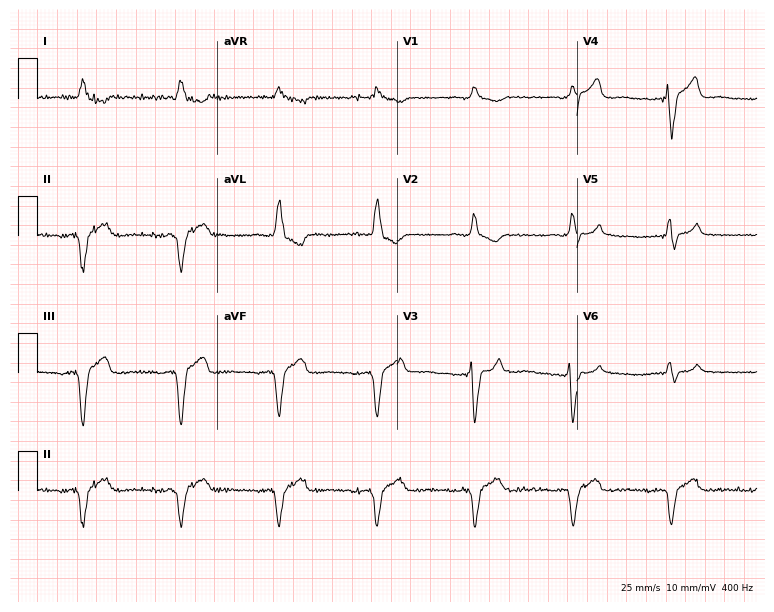
12-lead ECG from a 75-year-old female (7.3-second recording at 400 Hz). Shows right bundle branch block.